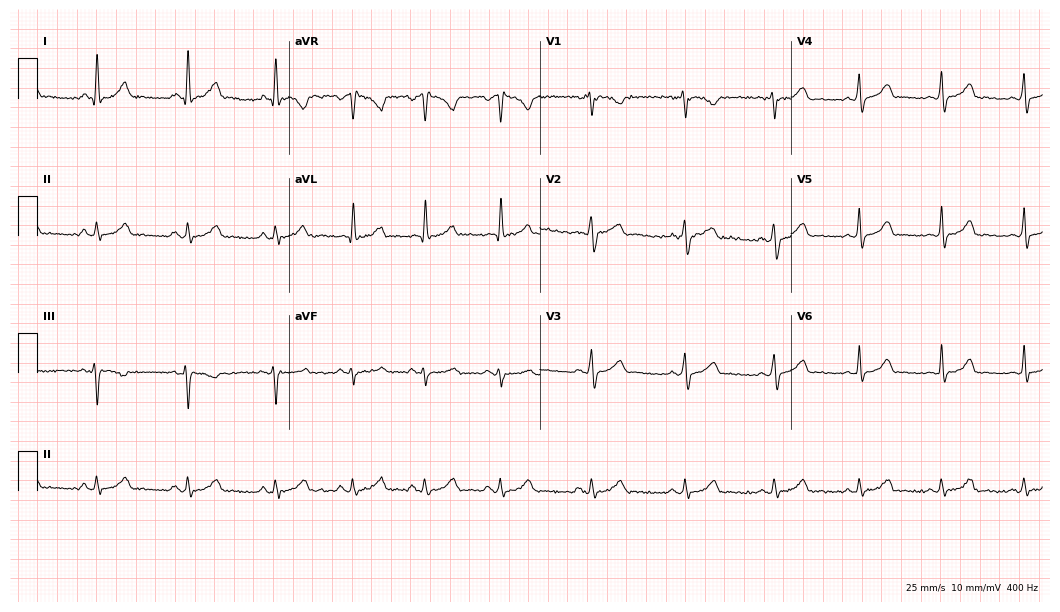
Electrocardiogram (10.2-second recording at 400 Hz), a woman, 28 years old. Of the six screened findings (first-degree AV block, right bundle branch block (RBBB), left bundle branch block (LBBB), sinus bradycardia, atrial fibrillation (AF), sinus tachycardia), none is recorded. Findings outside these six are not listed.